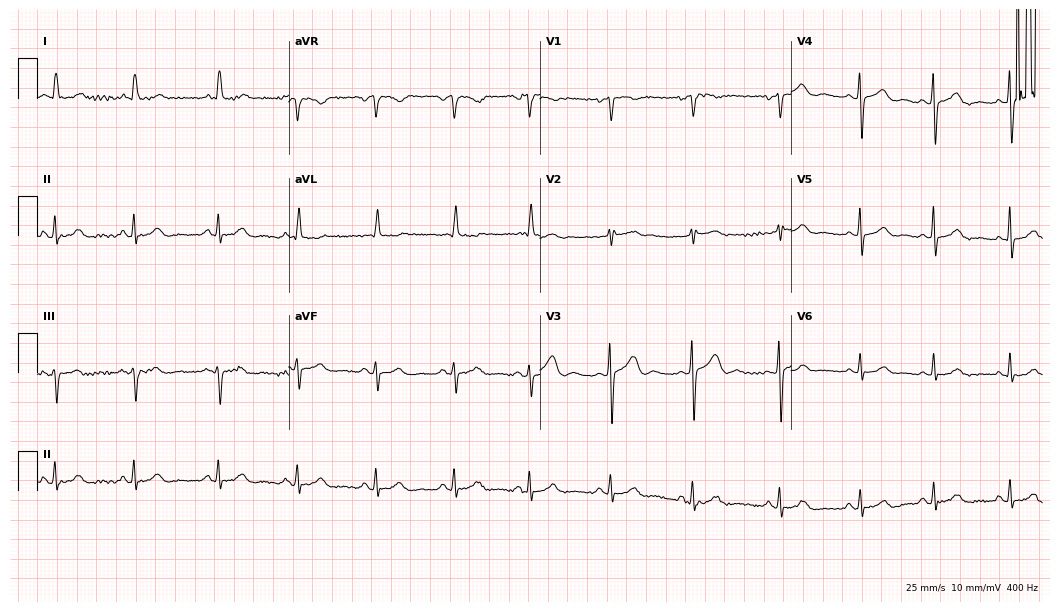
12-lead ECG (10.2-second recording at 400 Hz) from a 63-year-old female. Screened for six findings — first-degree AV block, right bundle branch block, left bundle branch block, sinus bradycardia, atrial fibrillation, sinus tachycardia — none is recorded.